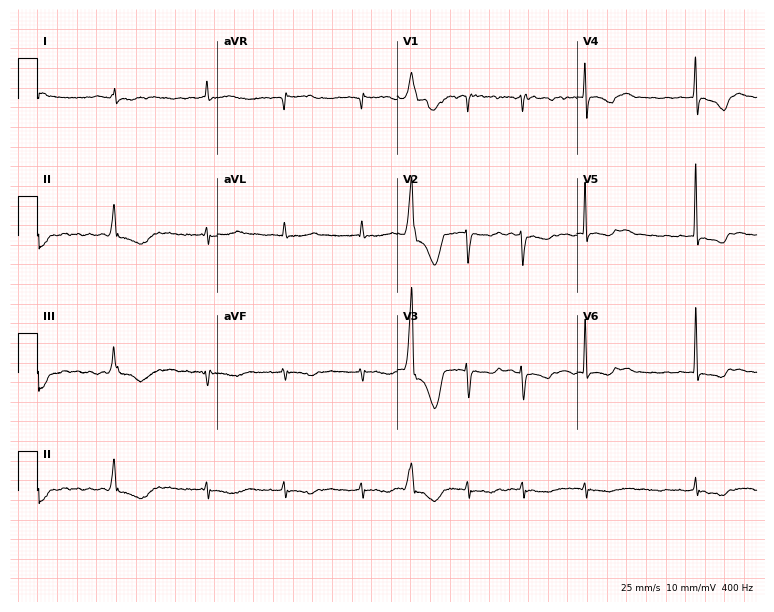
12-lead ECG from a woman, 74 years old. Shows atrial fibrillation (AF).